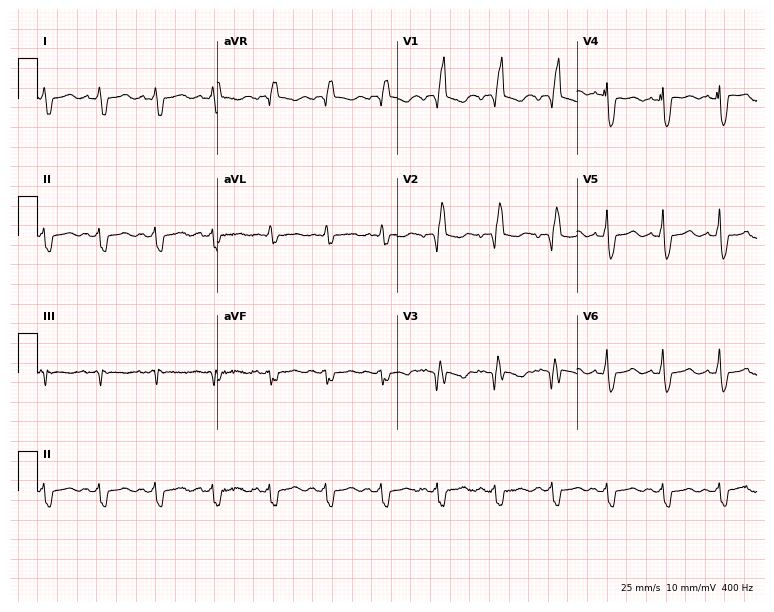
ECG (7.3-second recording at 400 Hz) — a 53-year-old male patient. Screened for six findings — first-degree AV block, right bundle branch block (RBBB), left bundle branch block (LBBB), sinus bradycardia, atrial fibrillation (AF), sinus tachycardia — none is recorded.